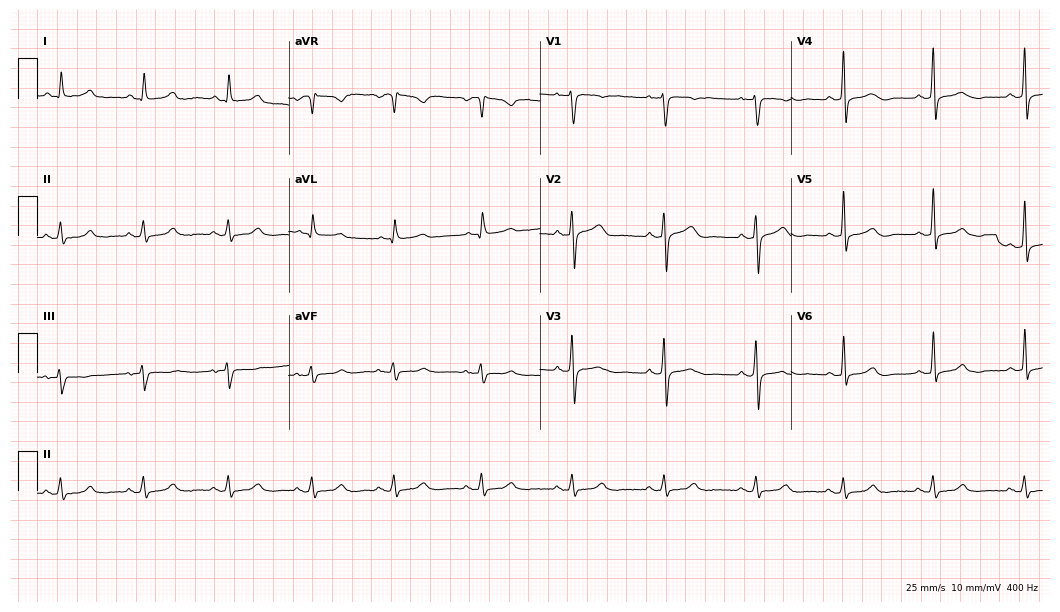
ECG — a 42-year-old female. Screened for six findings — first-degree AV block, right bundle branch block, left bundle branch block, sinus bradycardia, atrial fibrillation, sinus tachycardia — none is recorded. Findings outside these six are not listed.